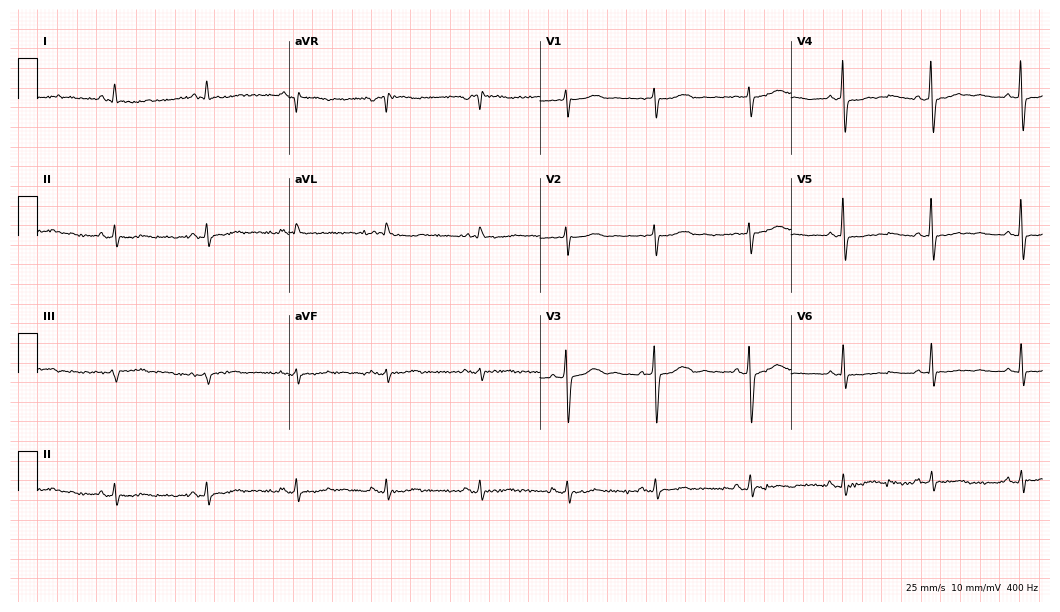
12-lead ECG (10.2-second recording at 400 Hz) from a female patient, 72 years old. Screened for six findings — first-degree AV block, right bundle branch block, left bundle branch block, sinus bradycardia, atrial fibrillation, sinus tachycardia — none is recorded. Findings outside these six are not listed.